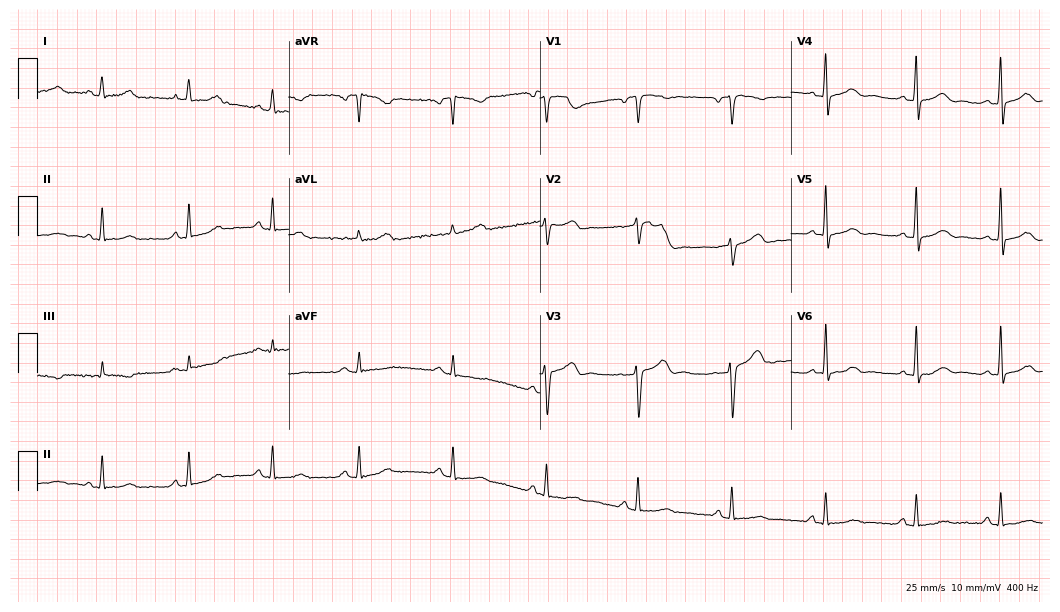
Resting 12-lead electrocardiogram. Patient: a 46-year-old female. Read as a normal ECG.